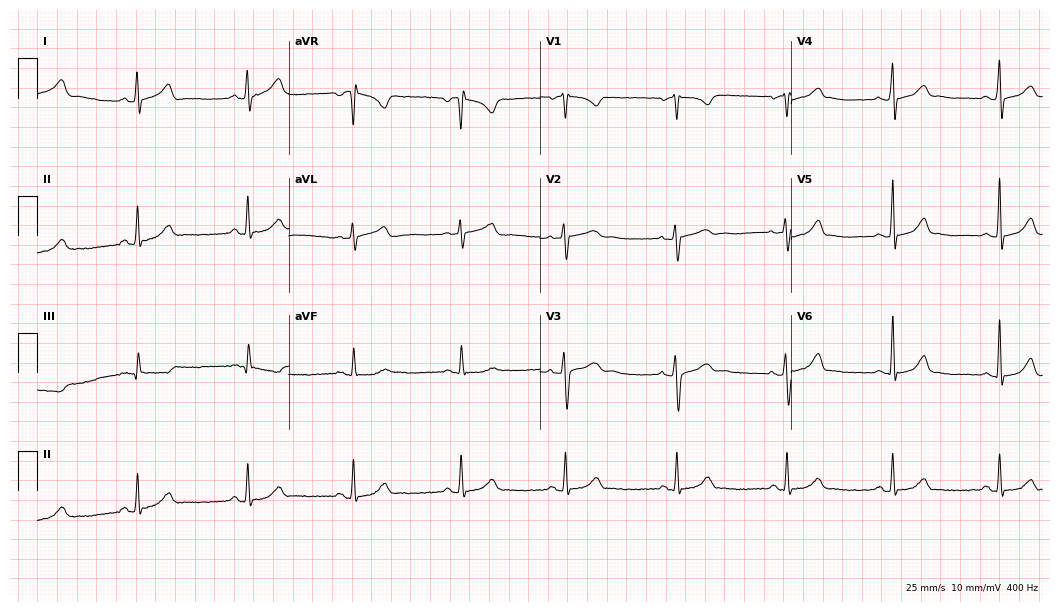
Standard 12-lead ECG recorded from a female, 24 years old (10.2-second recording at 400 Hz). Read as a normal ECG.